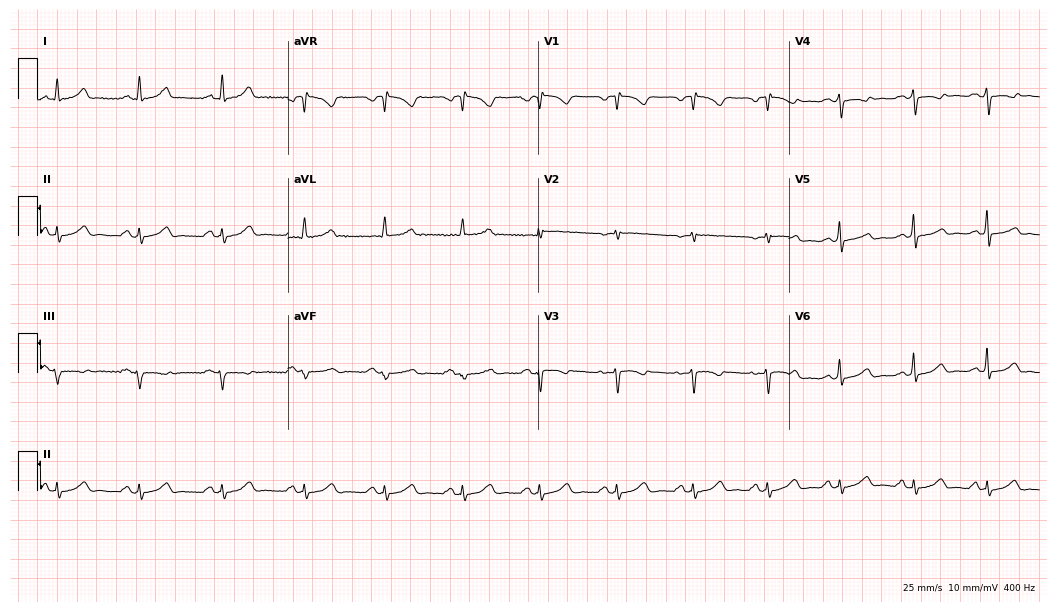
Standard 12-lead ECG recorded from a woman, 37 years old (10.2-second recording at 400 Hz). None of these six findings is recorded: first-degree AV block, right bundle branch block, left bundle branch block, sinus bradycardia, atrial fibrillation, sinus tachycardia.